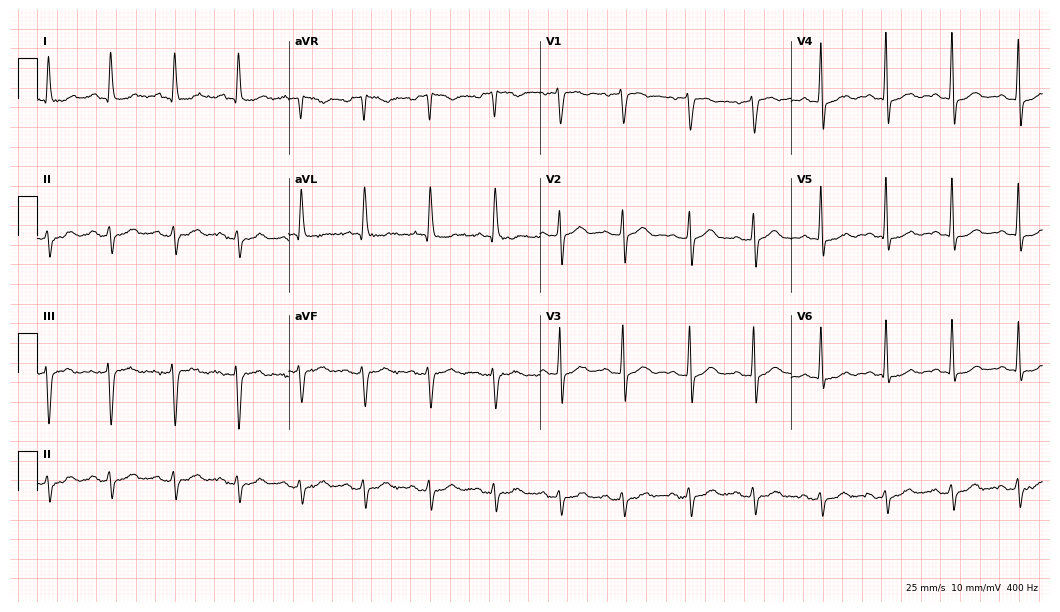
Resting 12-lead electrocardiogram (10.2-second recording at 400 Hz). Patient: a man, 83 years old. None of these six findings is recorded: first-degree AV block, right bundle branch block, left bundle branch block, sinus bradycardia, atrial fibrillation, sinus tachycardia. Findings outside these six are not listed.